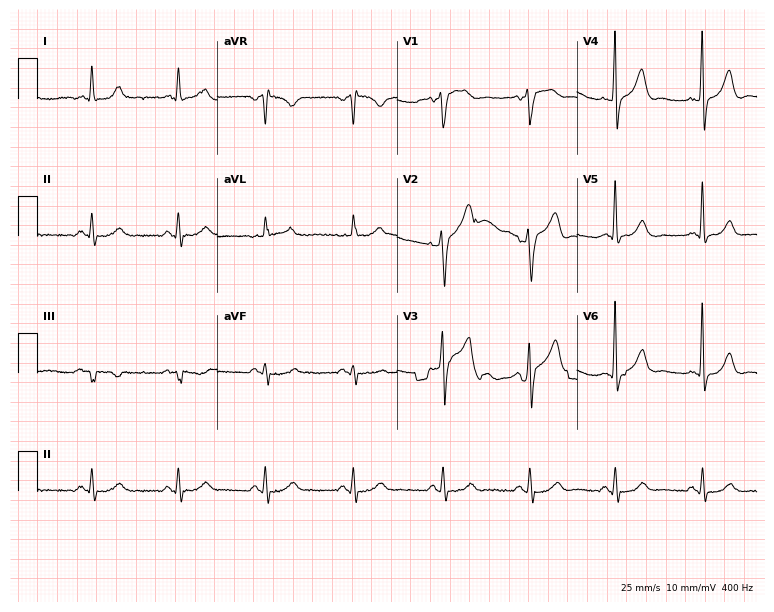
12-lead ECG from an 85-year-old man. Labelled as a normal ECG.